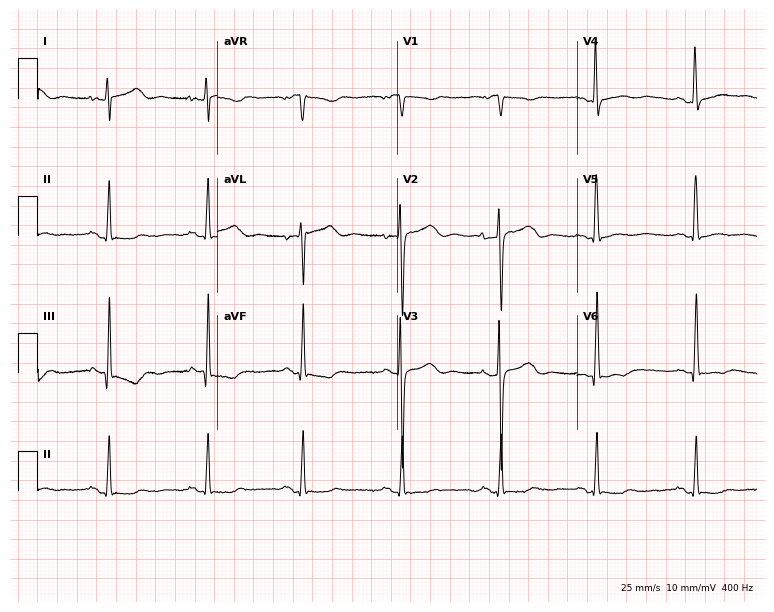
Electrocardiogram, a 64-year-old female. Of the six screened findings (first-degree AV block, right bundle branch block, left bundle branch block, sinus bradycardia, atrial fibrillation, sinus tachycardia), none is recorded. Findings outside these six are not listed.